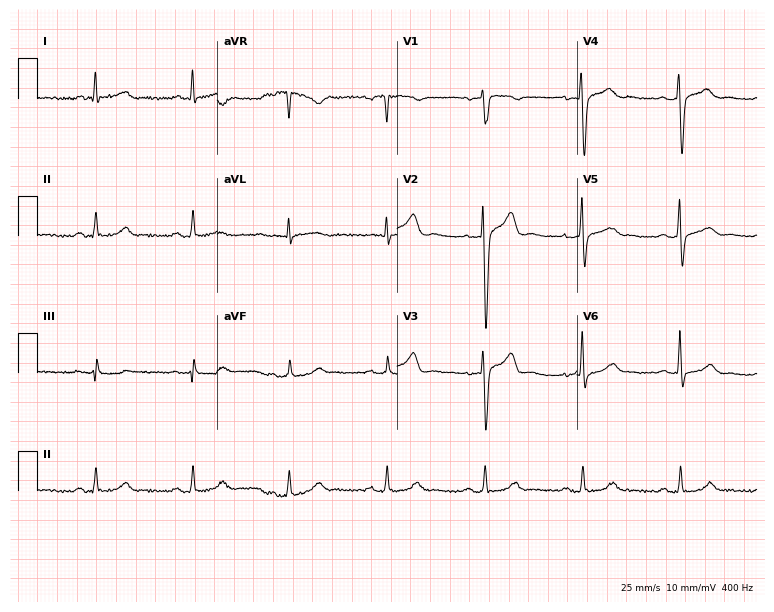
ECG — a 55-year-old male. Labelled as a normal ECG.